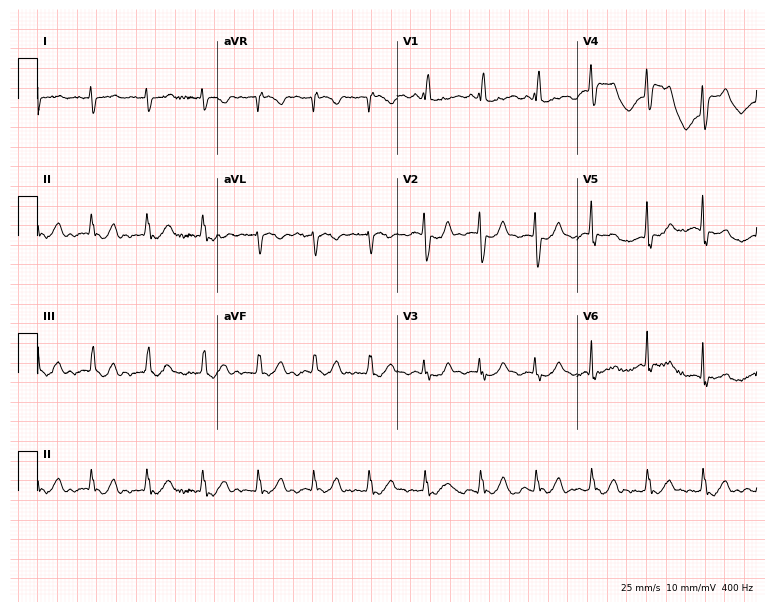
ECG — a 63-year-old female. Screened for six findings — first-degree AV block, right bundle branch block, left bundle branch block, sinus bradycardia, atrial fibrillation, sinus tachycardia — none is recorded.